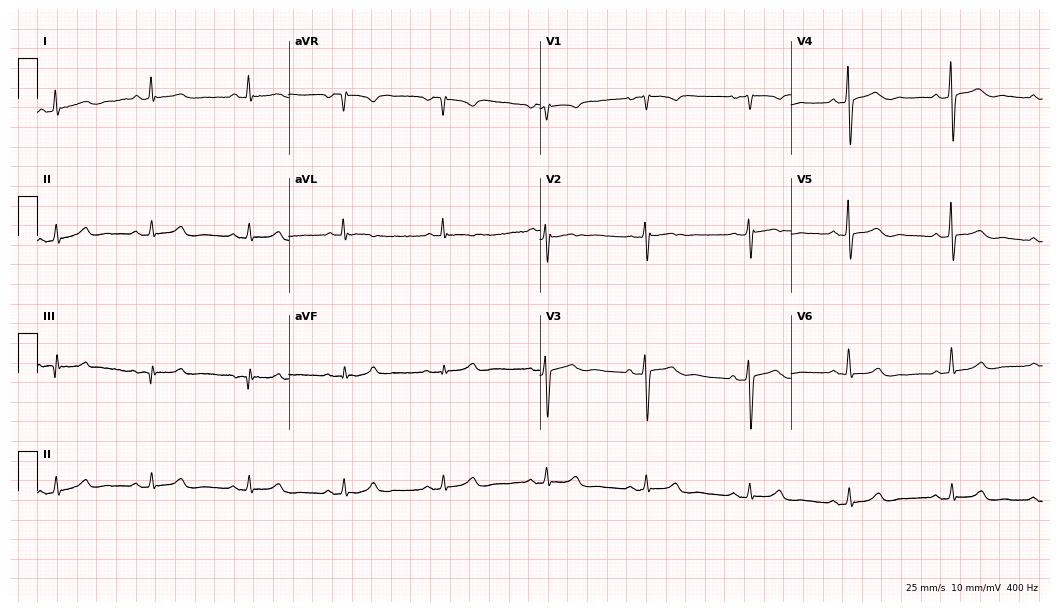
ECG (10.2-second recording at 400 Hz) — a female patient, 56 years old. Labelled as a normal ECG.